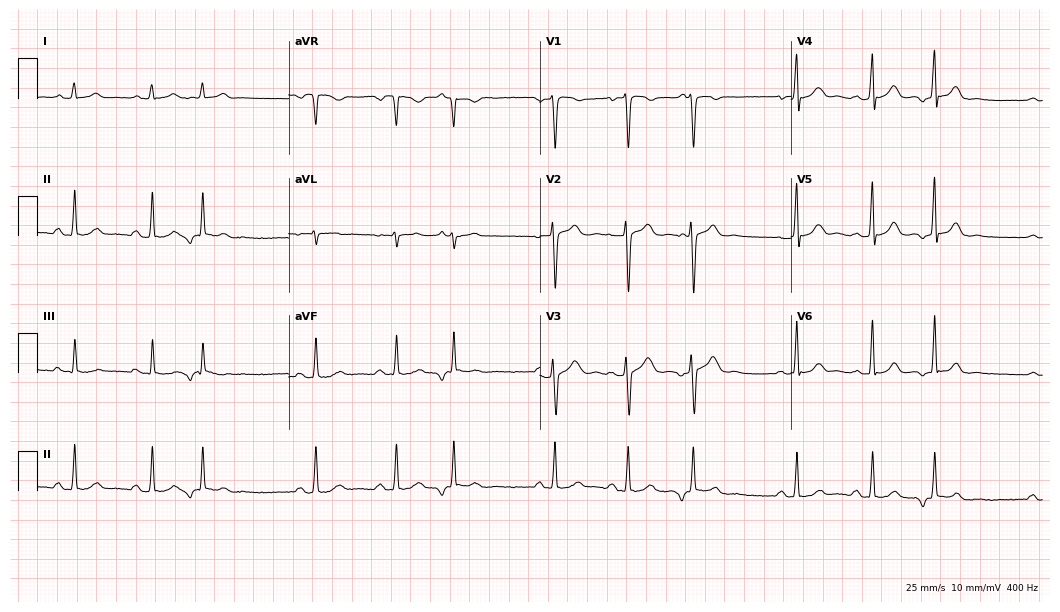
12-lead ECG from a 30-year-old male patient. No first-degree AV block, right bundle branch block (RBBB), left bundle branch block (LBBB), sinus bradycardia, atrial fibrillation (AF) or sinus tachycardia recorded for this tracing. Only these six findings were labelled.